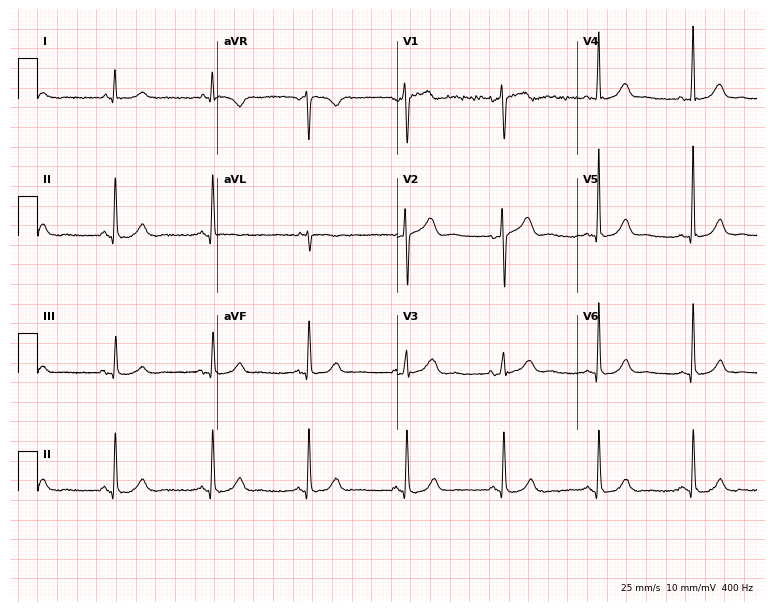
Resting 12-lead electrocardiogram (7.3-second recording at 400 Hz). Patient: a female, 53 years old. Read as a normal ECG.